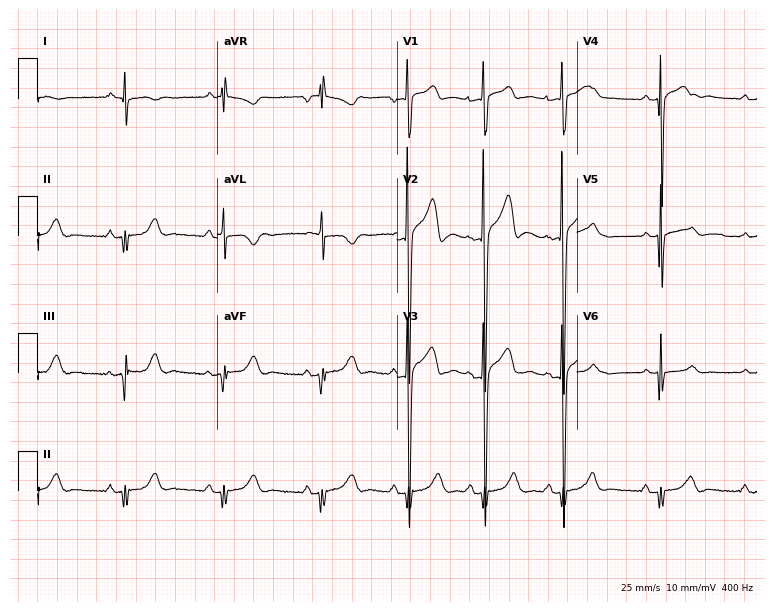
ECG (7.3-second recording at 400 Hz) — a 27-year-old male patient. Screened for six findings — first-degree AV block, right bundle branch block, left bundle branch block, sinus bradycardia, atrial fibrillation, sinus tachycardia — none is recorded. Other findings, if any, are not listed.